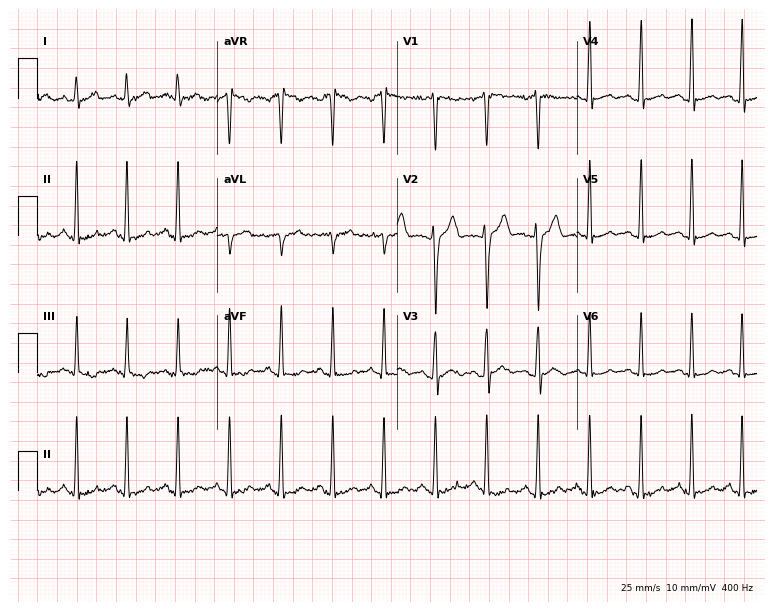
Electrocardiogram (7.3-second recording at 400 Hz), a 22-year-old man. Interpretation includes sinus tachycardia (a sinus rate of 100 beats per minute or more).